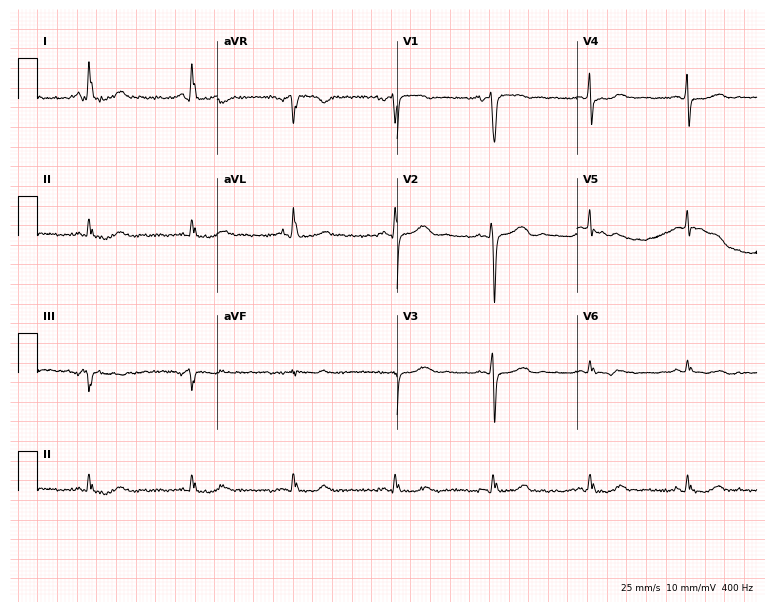
Electrocardiogram, a 67-year-old female. Of the six screened findings (first-degree AV block, right bundle branch block, left bundle branch block, sinus bradycardia, atrial fibrillation, sinus tachycardia), none is recorded. Findings outside these six are not listed.